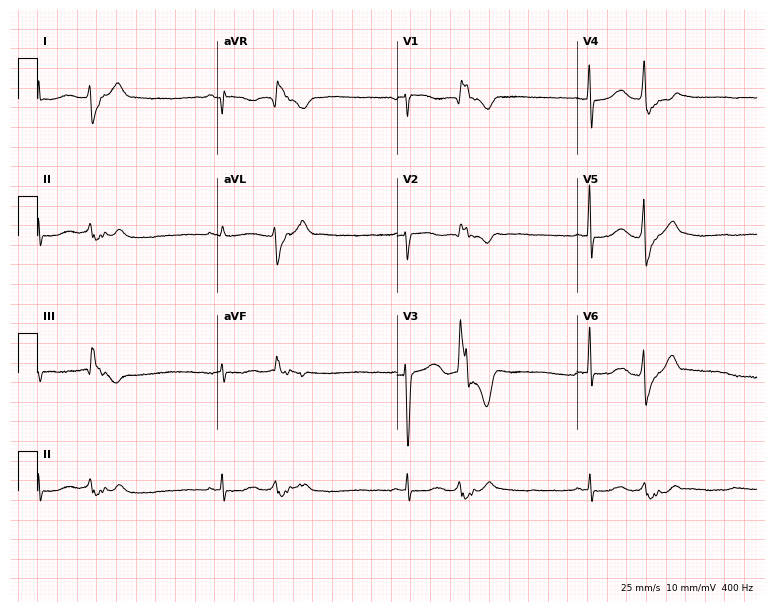
Standard 12-lead ECG recorded from a female patient, 52 years old (7.3-second recording at 400 Hz). None of these six findings is recorded: first-degree AV block, right bundle branch block, left bundle branch block, sinus bradycardia, atrial fibrillation, sinus tachycardia.